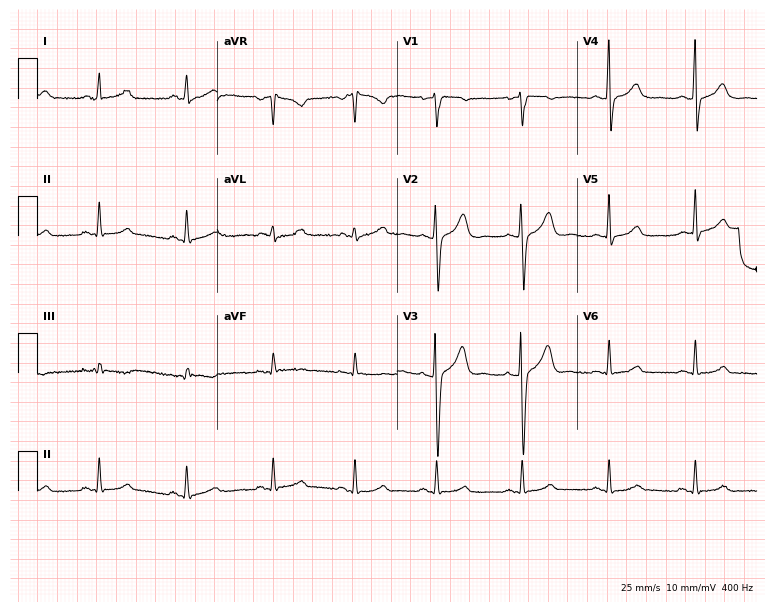
Resting 12-lead electrocardiogram (7.3-second recording at 400 Hz). Patient: a female, 20 years old. None of these six findings is recorded: first-degree AV block, right bundle branch block, left bundle branch block, sinus bradycardia, atrial fibrillation, sinus tachycardia.